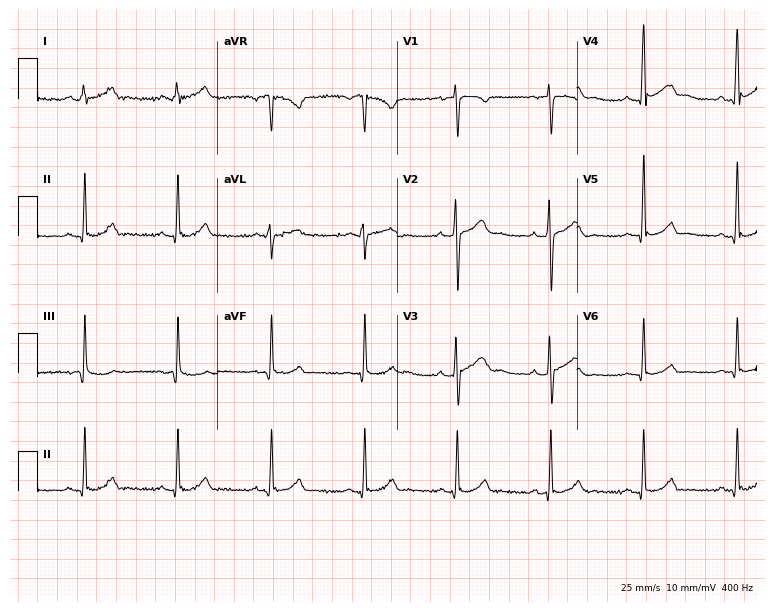
Electrocardiogram (7.3-second recording at 400 Hz), a woman, 37 years old. Of the six screened findings (first-degree AV block, right bundle branch block, left bundle branch block, sinus bradycardia, atrial fibrillation, sinus tachycardia), none is recorded. Other findings, if any, are not listed.